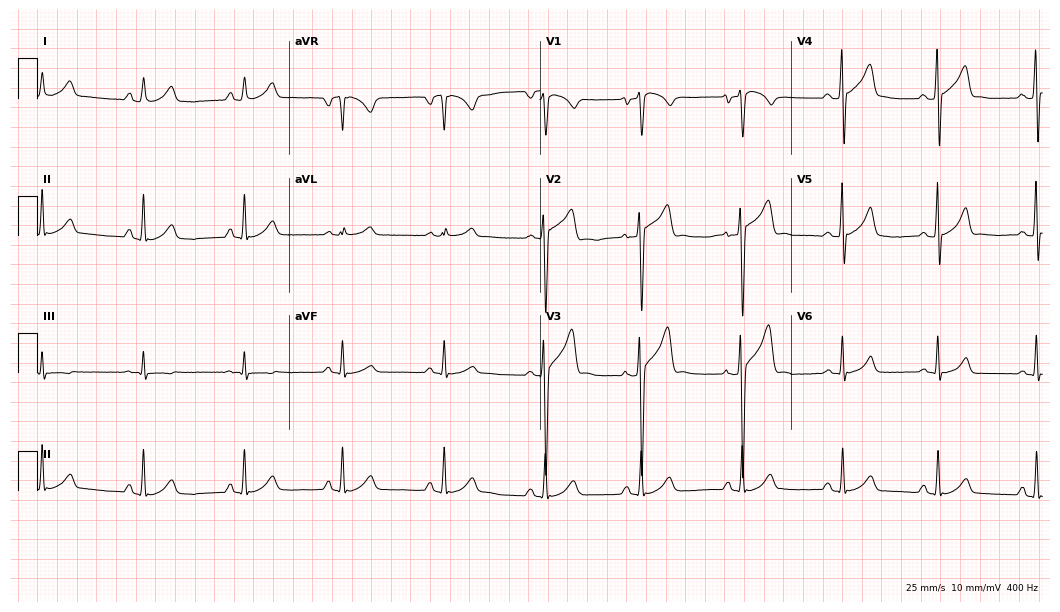
Resting 12-lead electrocardiogram. Patient: a 24-year-old male. Read as a normal ECG.